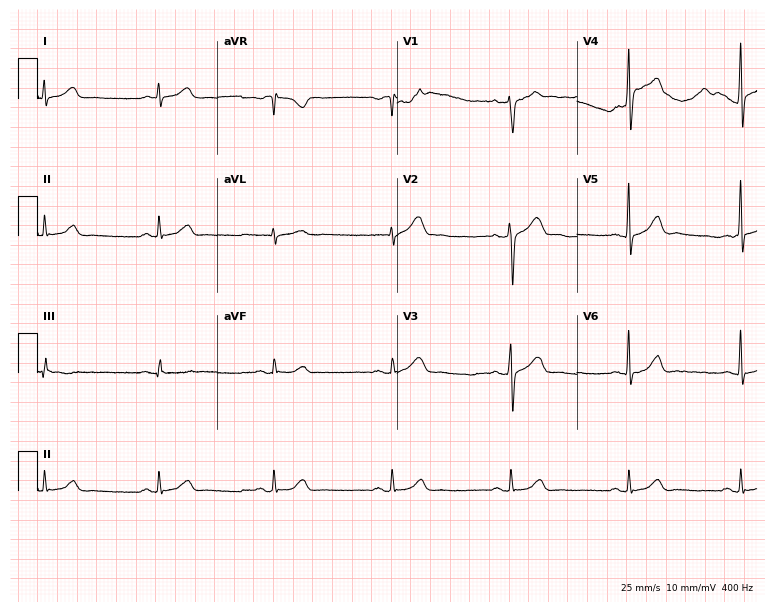
Resting 12-lead electrocardiogram (7.3-second recording at 400 Hz). Patient: a 51-year-old male. Read as a normal ECG.